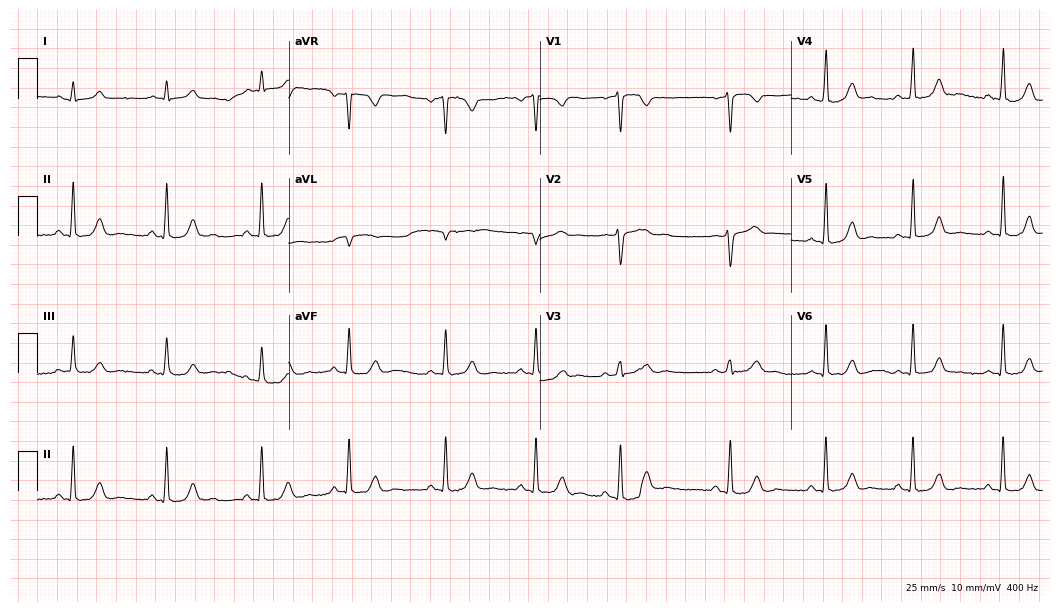
Resting 12-lead electrocardiogram (10.2-second recording at 400 Hz). Patient: a female, 23 years old. Read as a normal ECG.